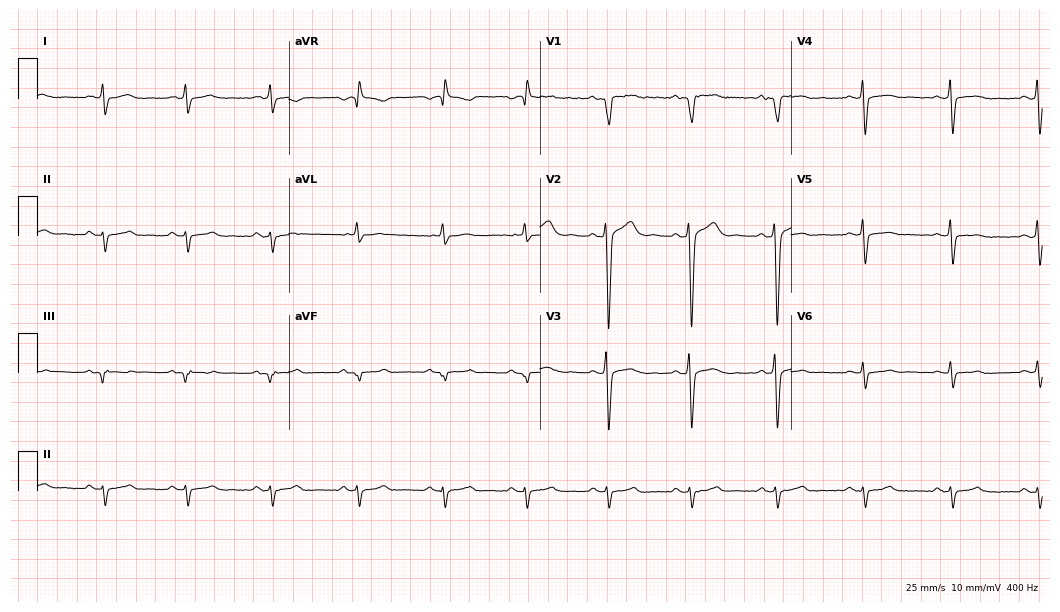
Resting 12-lead electrocardiogram. Patient: a 29-year-old male. None of these six findings is recorded: first-degree AV block, right bundle branch block, left bundle branch block, sinus bradycardia, atrial fibrillation, sinus tachycardia.